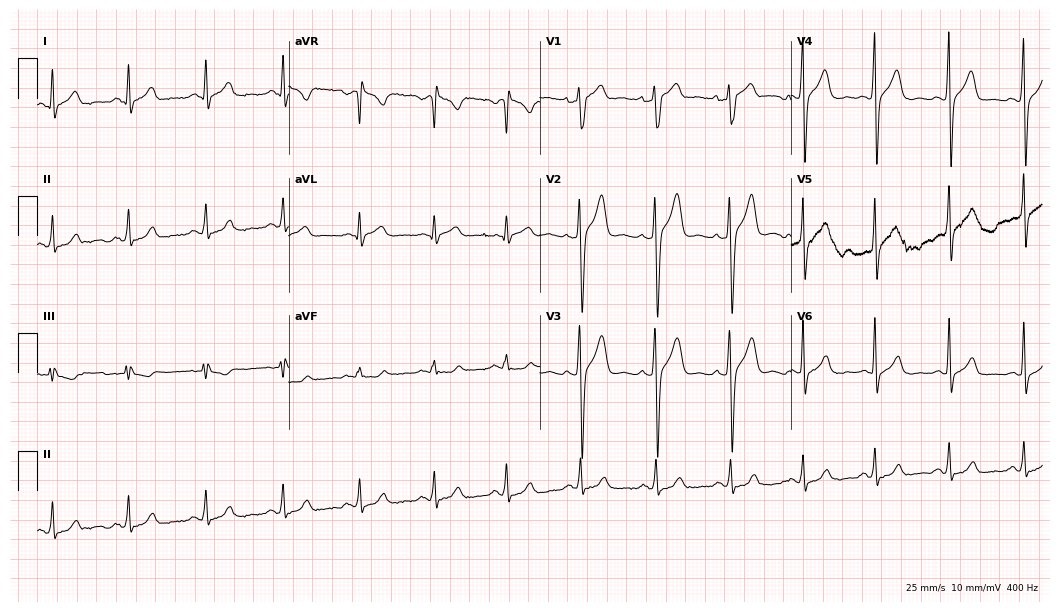
12-lead ECG (10.2-second recording at 400 Hz) from a 47-year-old man. Labelled as a normal ECG.